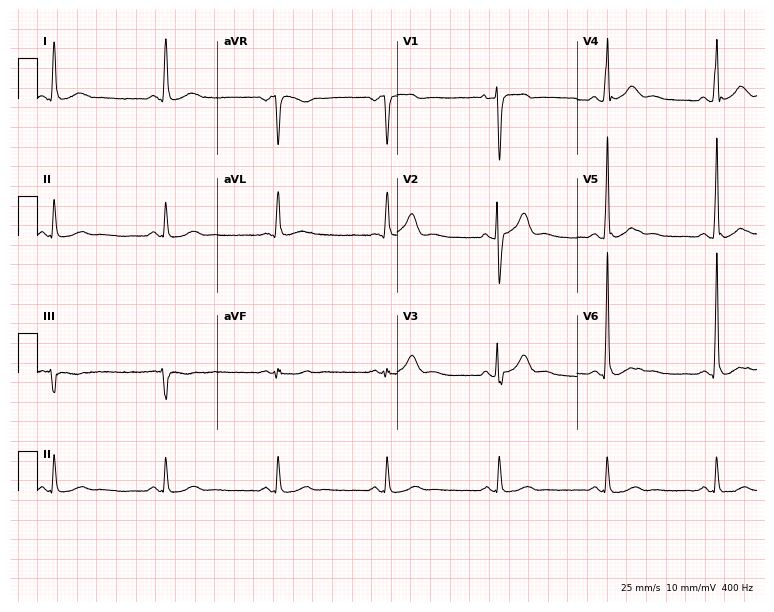
12-lead ECG from a 45-year-old man (7.3-second recording at 400 Hz). No first-degree AV block, right bundle branch block (RBBB), left bundle branch block (LBBB), sinus bradycardia, atrial fibrillation (AF) or sinus tachycardia recorded for this tracing.